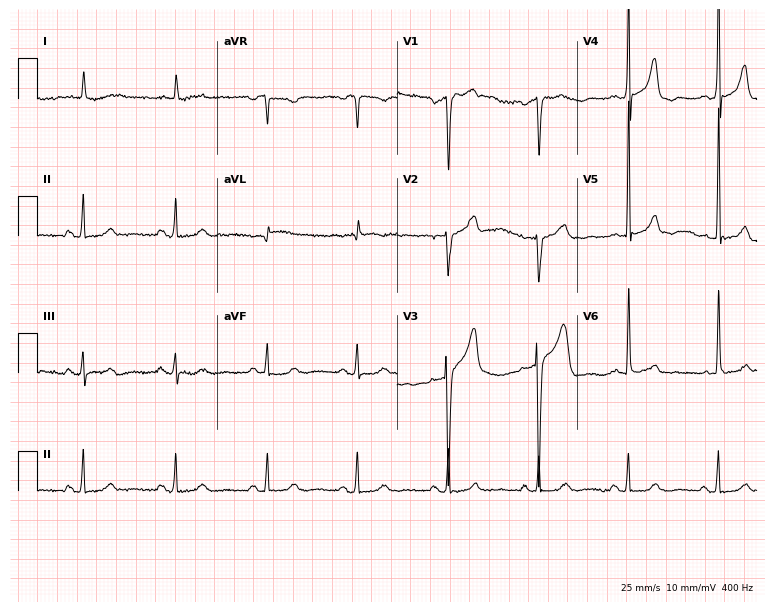
Electrocardiogram, a female patient, 82 years old. Of the six screened findings (first-degree AV block, right bundle branch block (RBBB), left bundle branch block (LBBB), sinus bradycardia, atrial fibrillation (AF), sinus tachycardia), none is recorded. Findings outside these six are not listed.